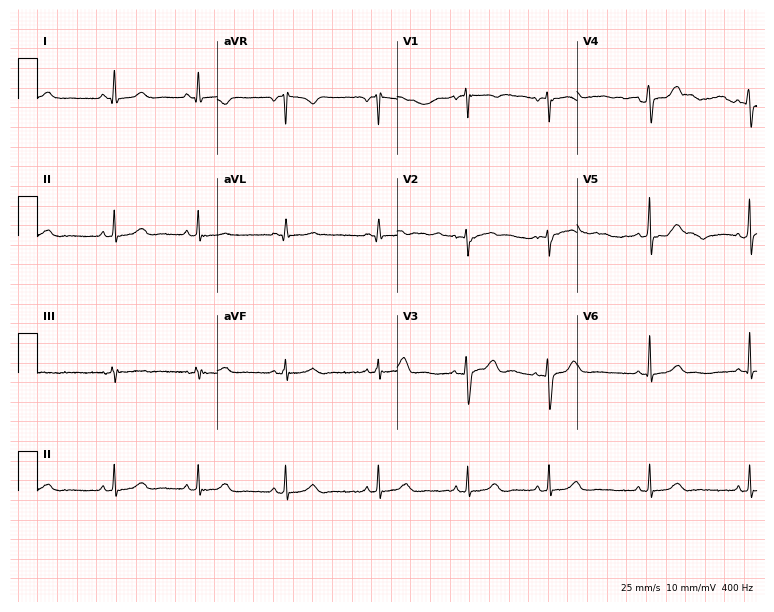
Resting 12-lead electrocardiogram (7.3-second recording at 400 Hz). Patient: a 34-year-old female. Read as a normal ECG.